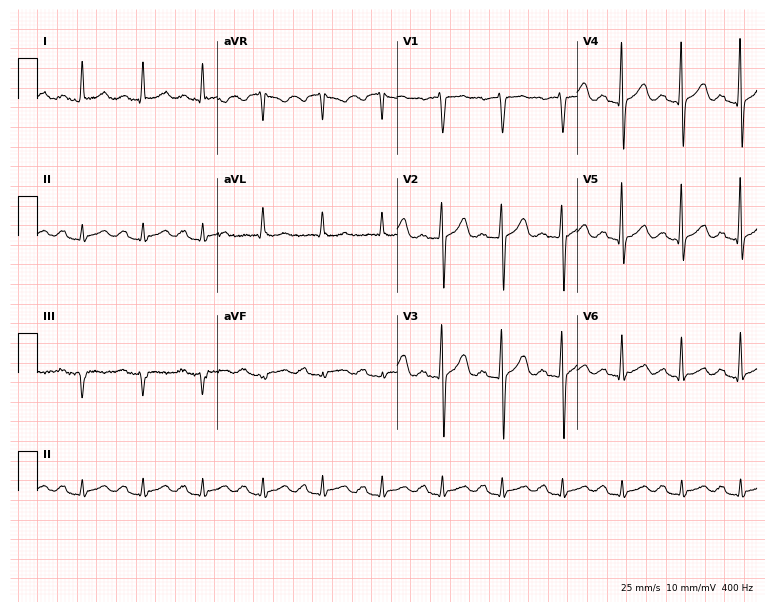
Resting 12-lead electrocardiogram (7.3-second recording at 400 Hz). Patient: a male, 66 years old. The tracing shows first-degree AV block.